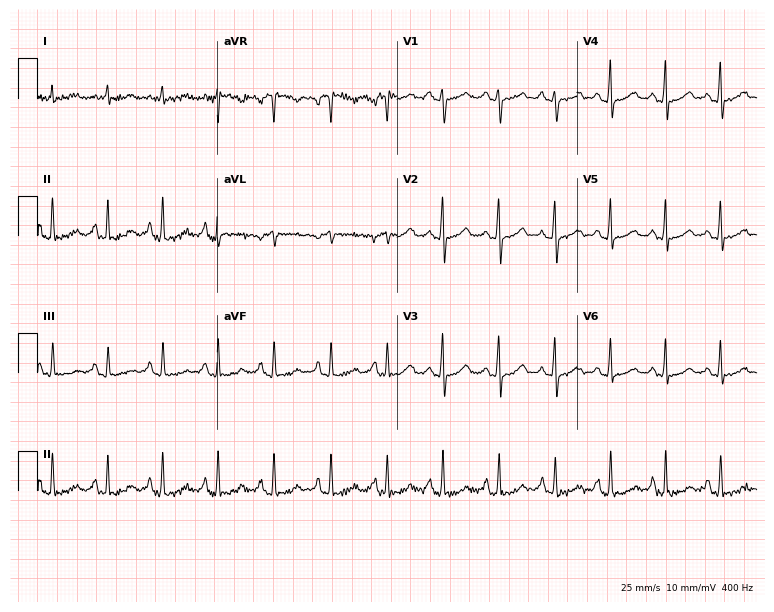
Resting 12-lead electrocardiogram. Patient: a female, 41 years old. The tracing shows sinus tachycardia (a sinus rate of 100 beats per minute or more).